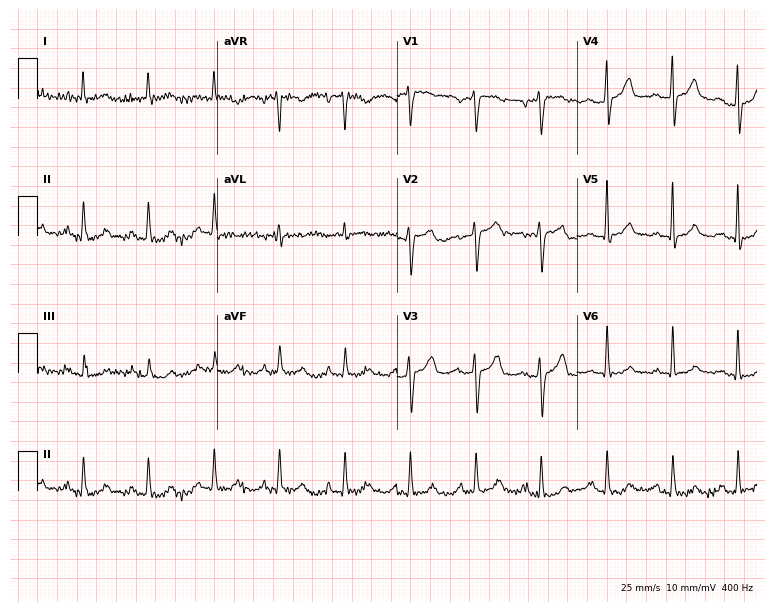
Standard 12-lead ECG recorded from a female, 67 years old. Read as a normal ECG.